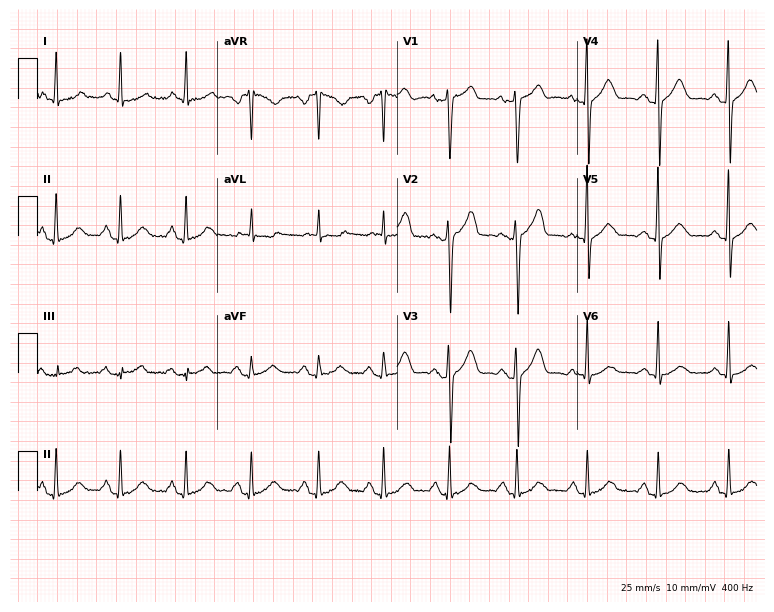
12-lead ECG from a female patient, 55 years old. Labelled as a normal ECG.